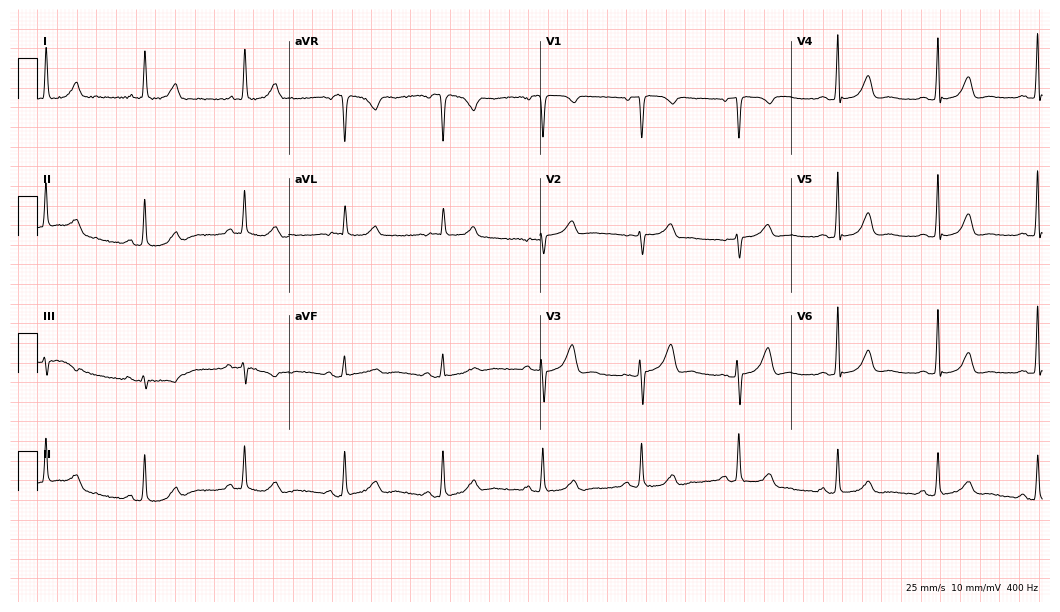
Electrocardiogram, a female patient, 65 years old. Of the six screened findings (first-degree AV block, right bundle branch block, left bundle branch block, sinus bradycardia, atrial fibrillation, sinus tachycardia), none is recorded.